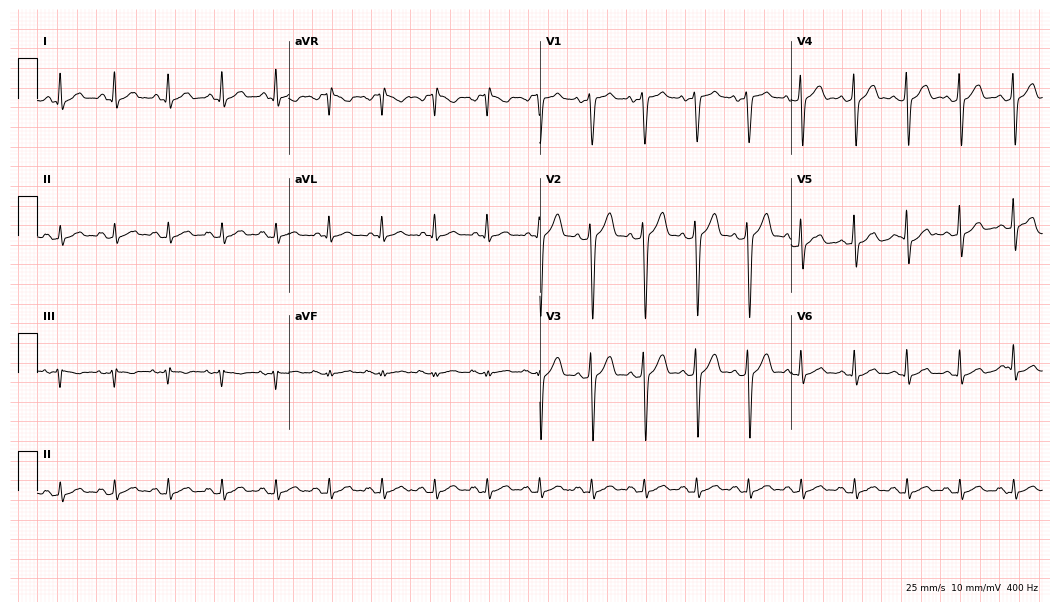
ECG — a 44-year-old male. Findings include sinus tachycardia (a sinus rate of 100 beats per minute or more).